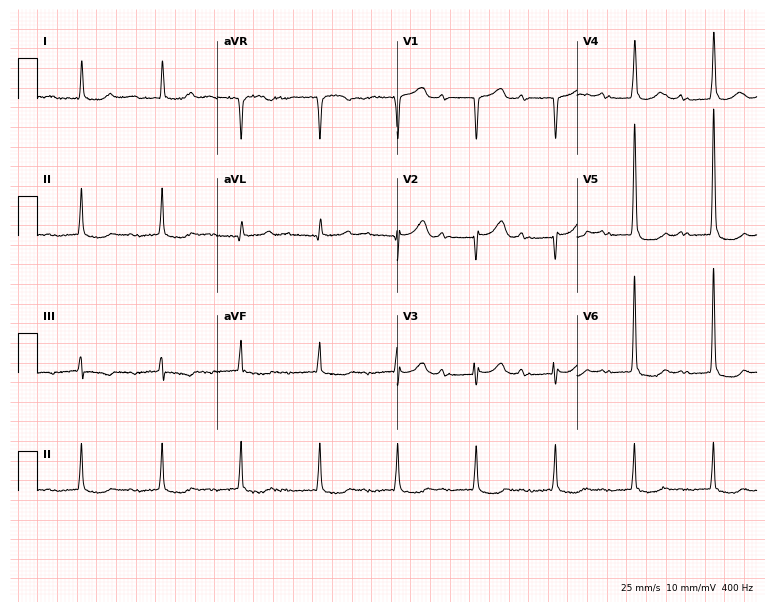
12-lead ECG from a 77-year-old female (7.3-second recording at 400 Hz). Shows first-degree AV block.